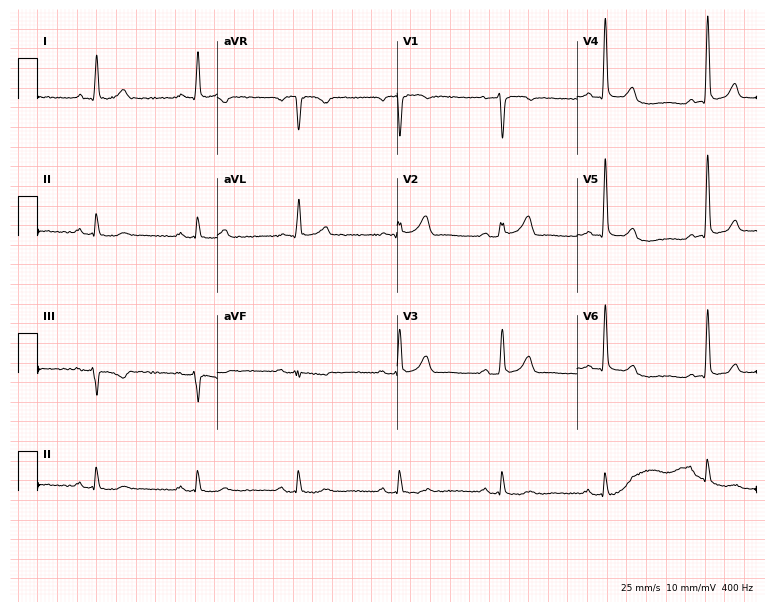
ECG — a man, 65 years old. Screened for six findings — first-degree AV block, right bundle branch block, left bundle branch block, sinus bradycardia, atrial fibrillation, sinus tachycardia — none is recorded. Only these six findings were labelled.